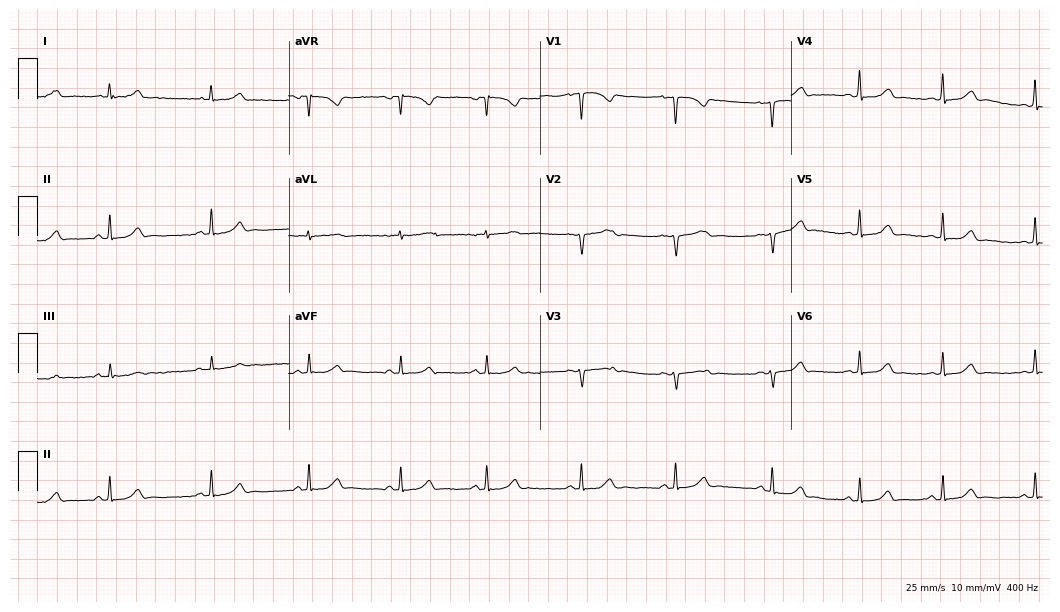
Standard 12-lead ECG recorded from a 25-year-old female patient (10.2-second recording at 400 Hz). Read as a normal ECG.